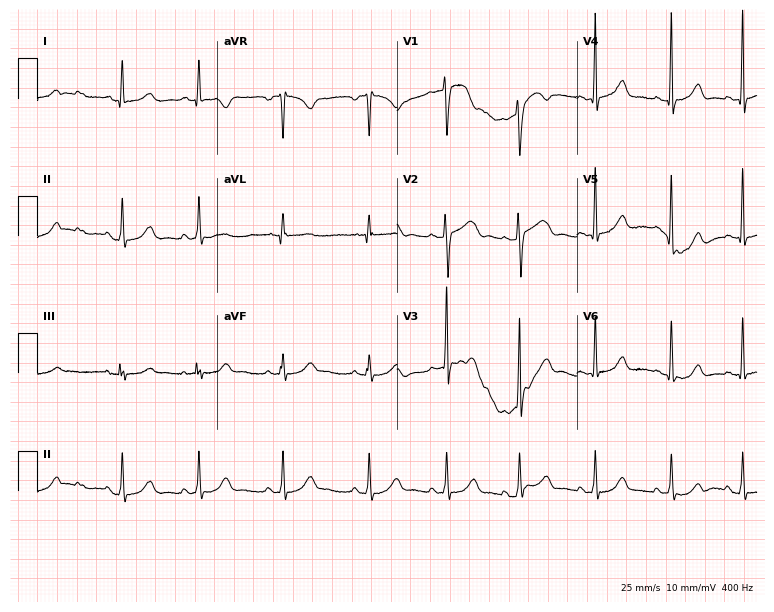
Resting 12-lead electrocardiogram (7.3-second recording at 400 Hz). Patient: a woman, 24 years old. None of these six findings is recorded: first-degree AV block, right bundle branch block, left bundle branch block, sinus bradycardia, atrial fibrillation, sinus tachycardia. Findings outside these six are not listed.